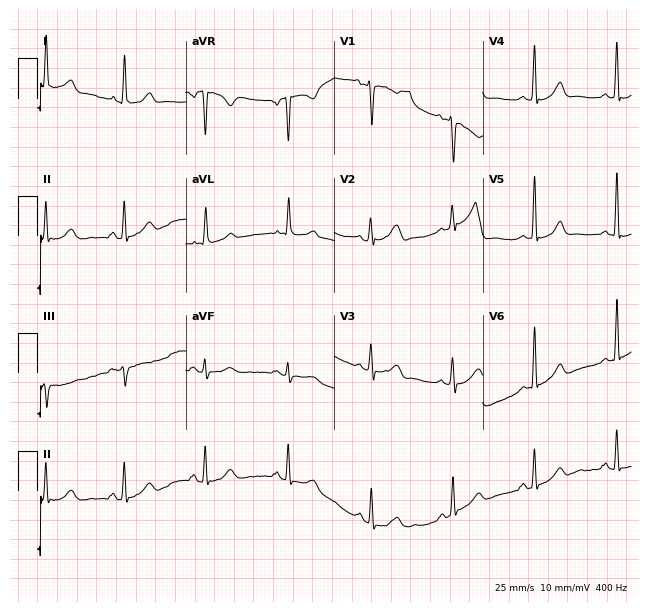
ECG — a woman, 38 years old. Labelled as a normal ECG.